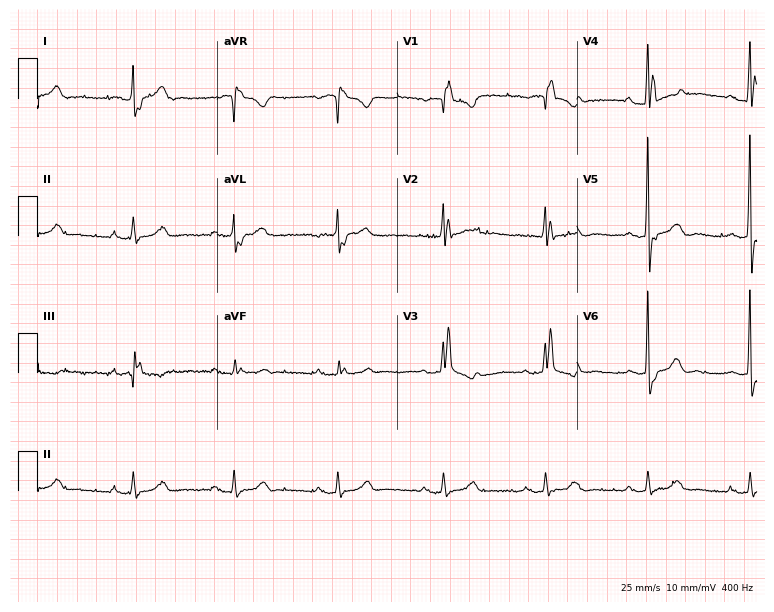
12-lead ECG from a woman, 84 years old (7.3-second recording at 400 Hz). Shows right bundle branch block.